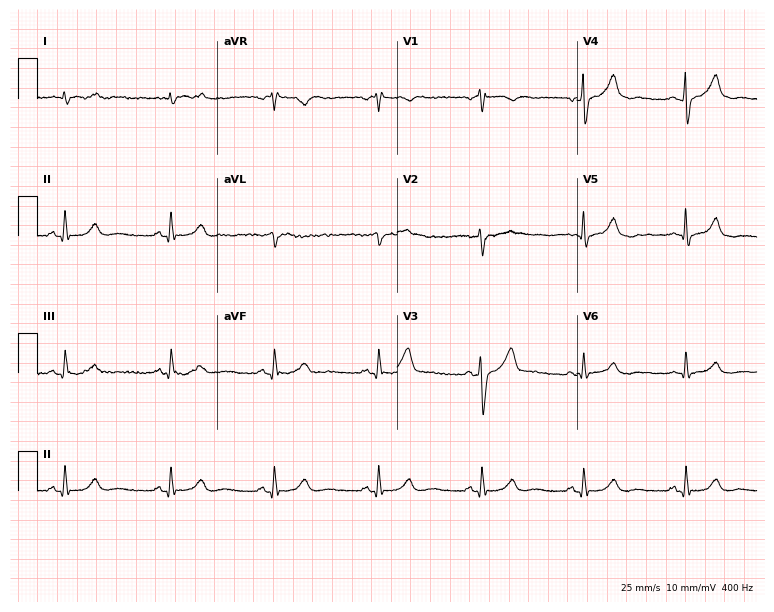
12-lead ECG from a 67-year-old male patient (7.3-second recording at 400 Hz). Recorded interpretation: within normal limits.